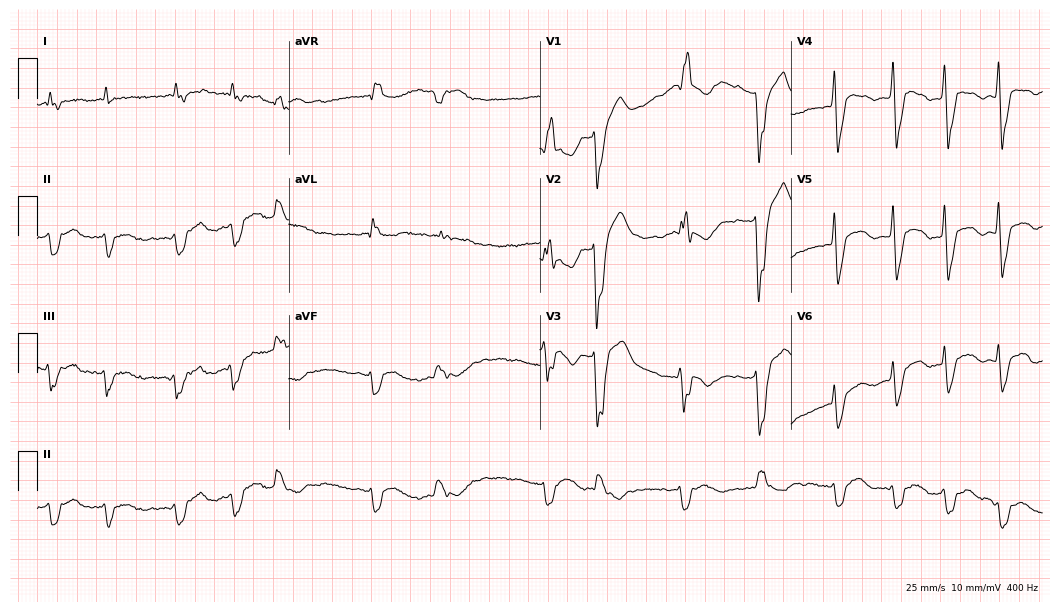
12-lead ECG from a 62-year-old female. Shows right bundle branch block, atrial fibrillation.